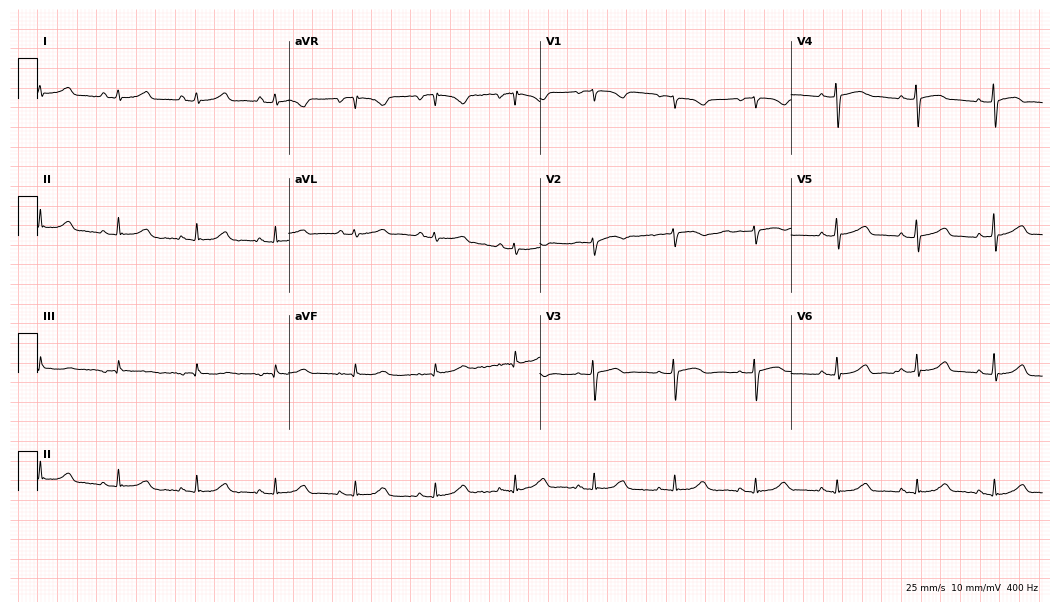
Resting 12-lead electrocardiogram. Patient: a 69-year-old female. Read as a normal ECG.